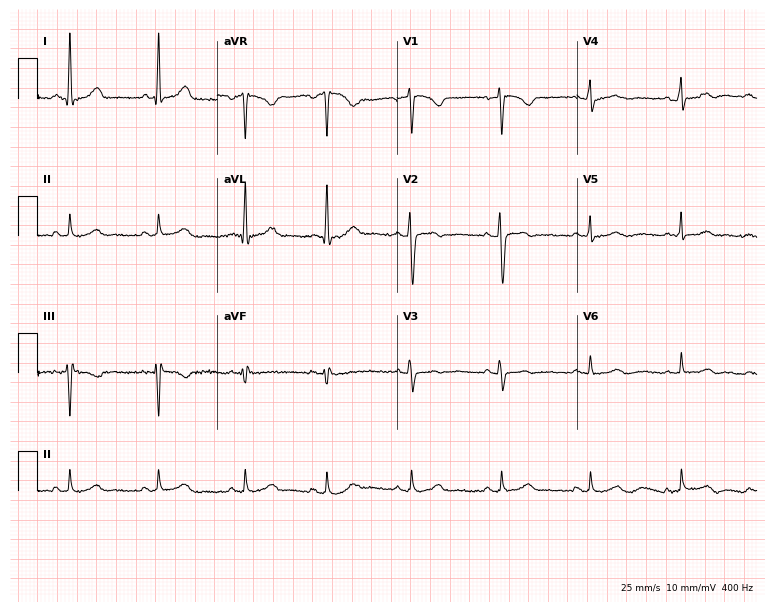
ECG — a female patient, 31 years old. Screened for six findings — first-degree AV block, right bundle branch block, left bundle branch block, sinus bradycardia, atrial fibrillation, sinus tachycardia — none is recorded. Findings outside these six are not listed.